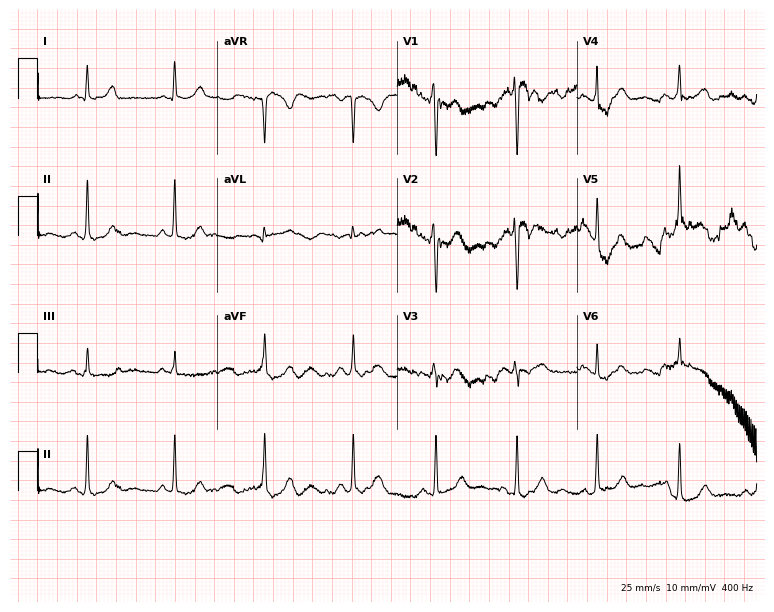
Resting 12-lead electrocardiogram. Patient: a female, 47 years old. None of these six findings is recorded: first-degree AV block, right bundle branch block, left bundle branch block, sinus bradycardia, atrial fibrillation, sinus tachycardia. Only these six findings were labelled.